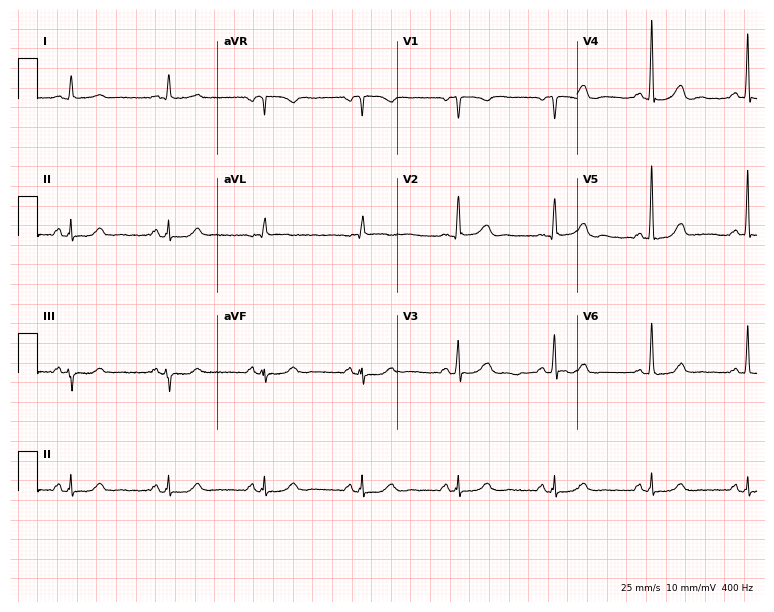
Resting 12-lead electrocardiogram. Patient: a woman, 63 years old. Read as a normal ECG.